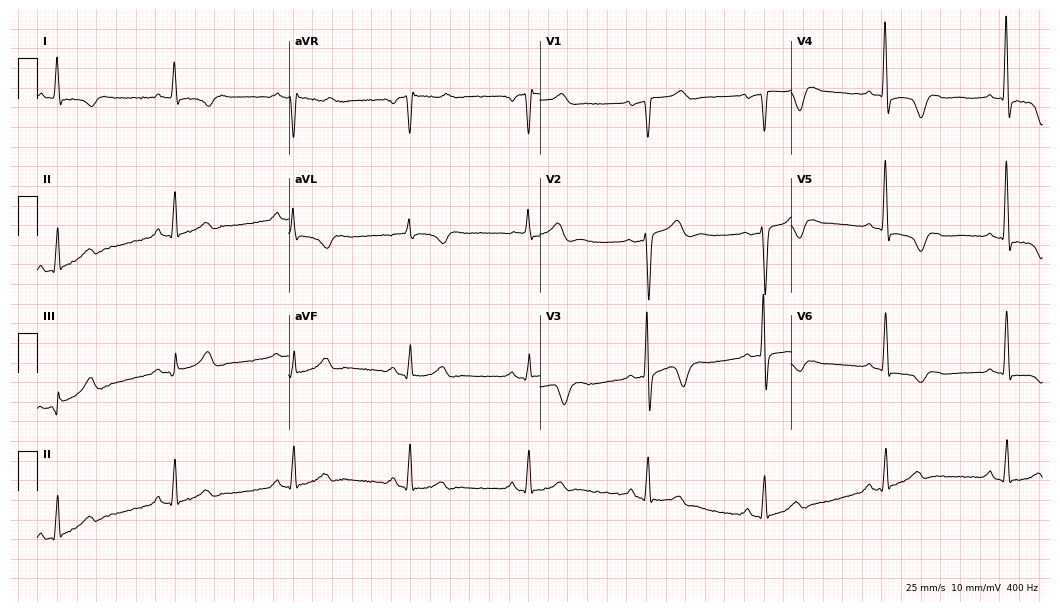
ECG (10.2-second recording at 400 Hz) — a 70-year-old male. Findings include sinus bradycardia (a sinus rate of 50 beats per minute or less).